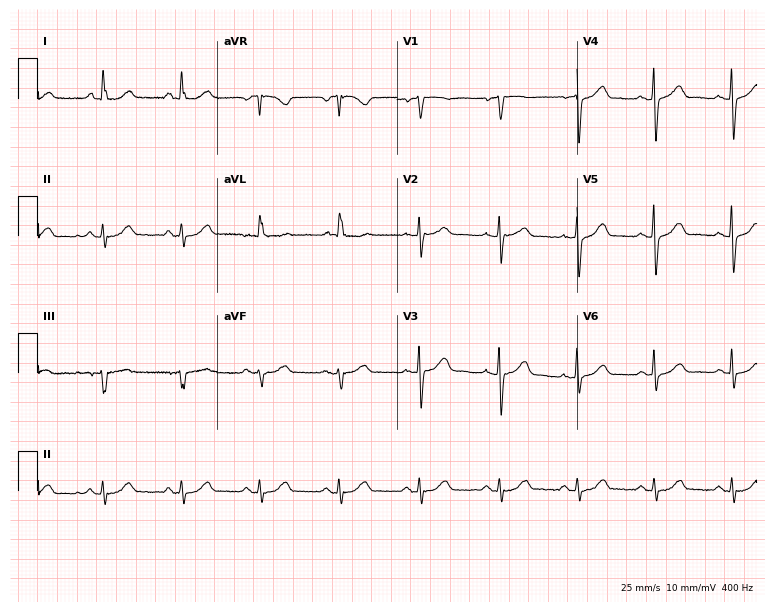
Standard 12-lead ECG recorded from a 64-year-old female patient (7.3-second recording at 400 Hz). None of these six findings is recorded: first-degree AV block, right bundle branch block, left bundle branch block, sinus bradycardia, atrial fibrillation, sinus tachycardia.